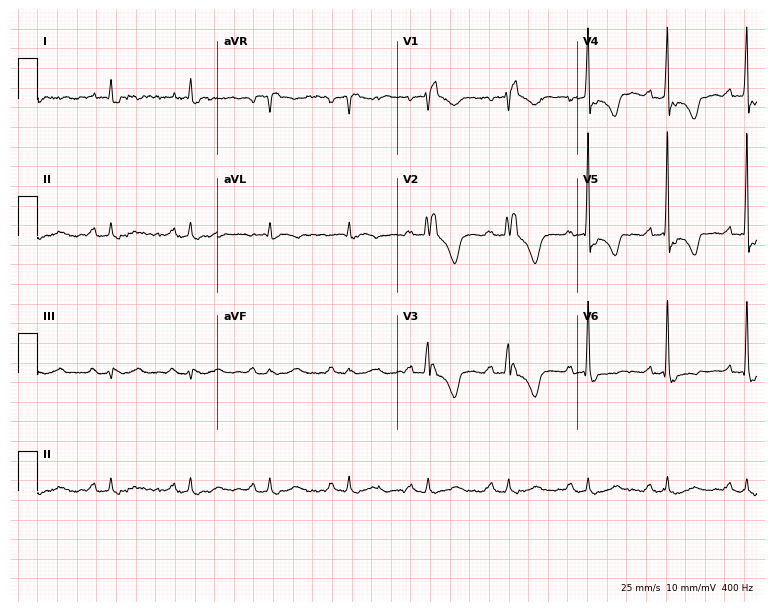
12-lead ECG from a 77-year-old female patient. Findings include right bundle branch block.